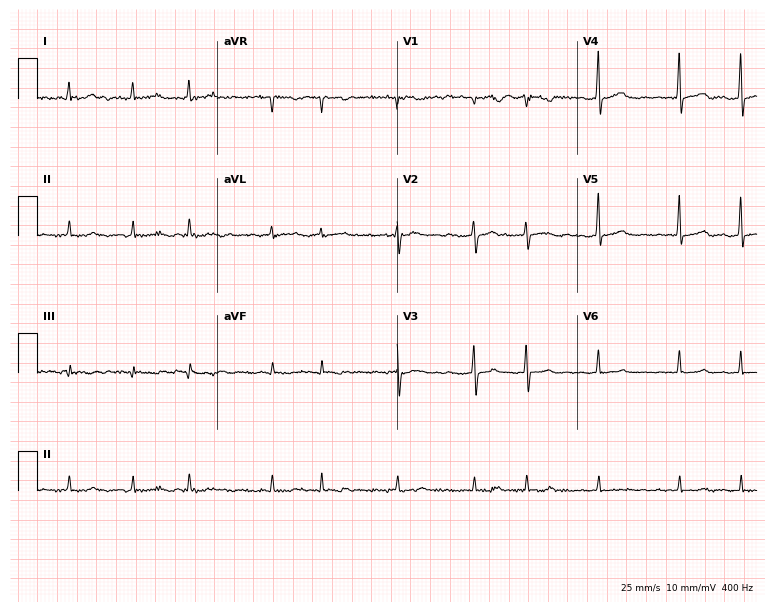
ECG — a female patient, 77 years old. Findings include atrial fibrillation (AF).